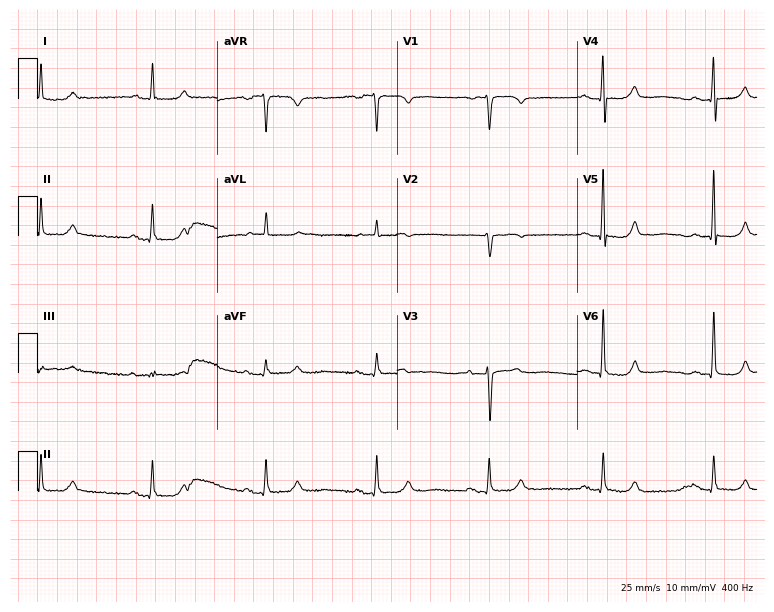
Resting 12-lead electrocardiogram. Patient: a 75-year-old female. Read as a normal ECG.